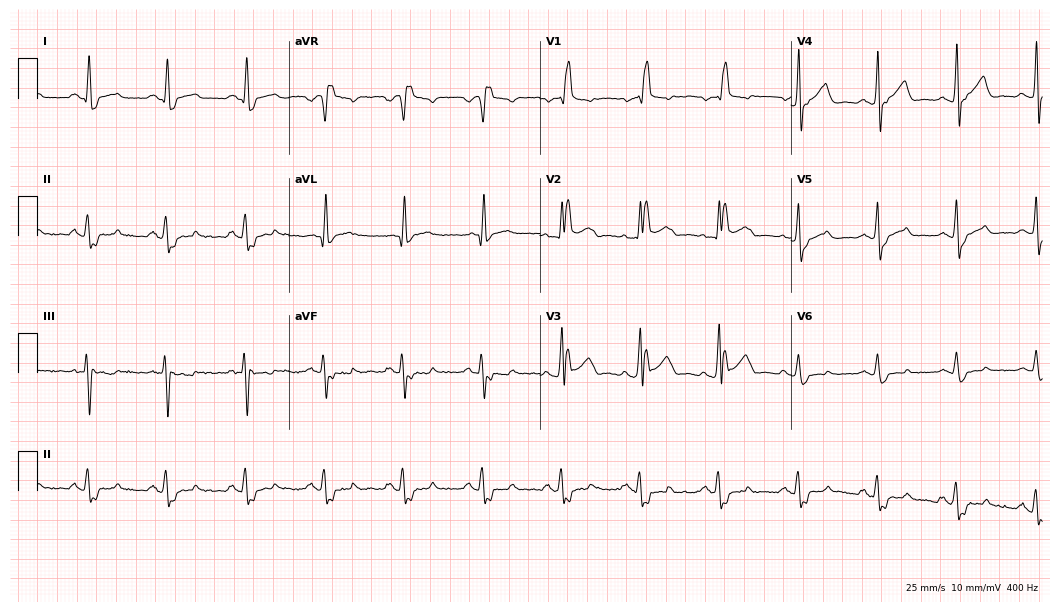
12-lead ECG (10.2-second recording at 400 Hz) from a 42-year-old man. Findings include right bundle branch block.